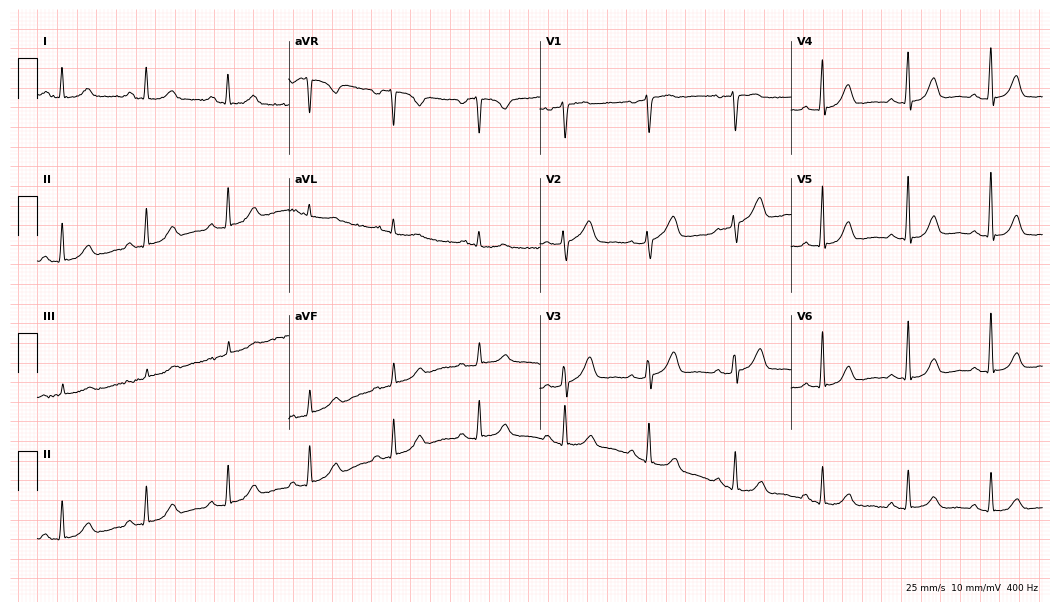
12-lead ECG from a 55-year-old woman (10.2-second recording at 400 Hz). Recorded interpretation: within normal limits.